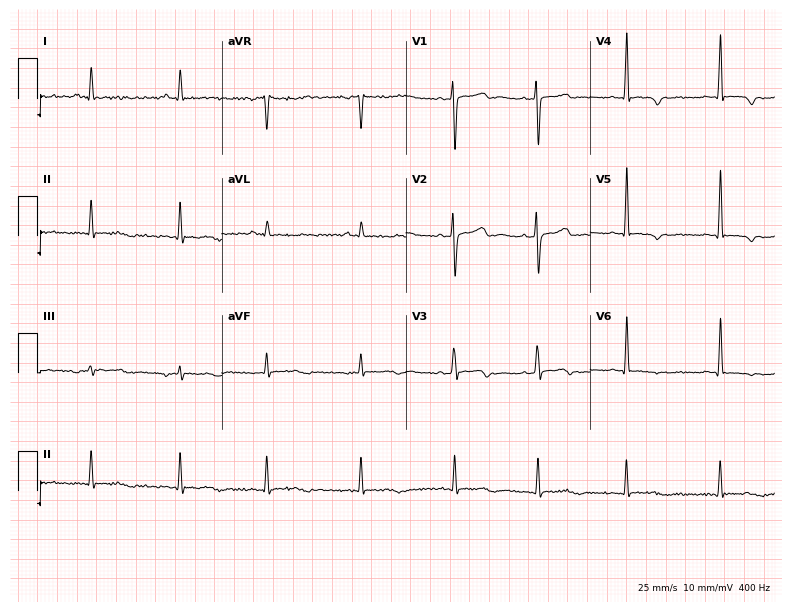
Resting 12-lead electrocardiogram. Patient: a female, 20 years old. None of these six findings is recorded: first-degree AV block, right bundle branch block, left bundle branch block, sinus bradycardia, atrial fibrillation, sinus tachycardia.